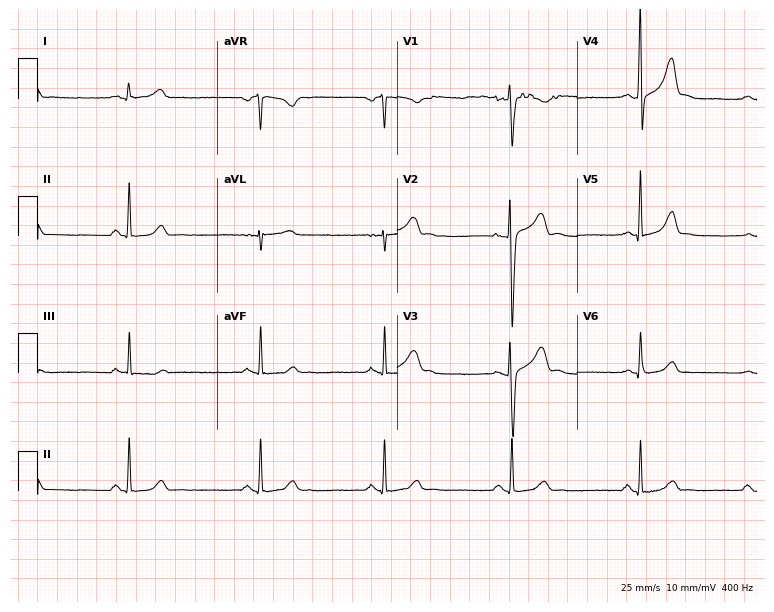
Electrocardiogram, a male, 34 years old. Interpretation includes sinus bradycardia (a sinus rate of 50 beats per minute or less).